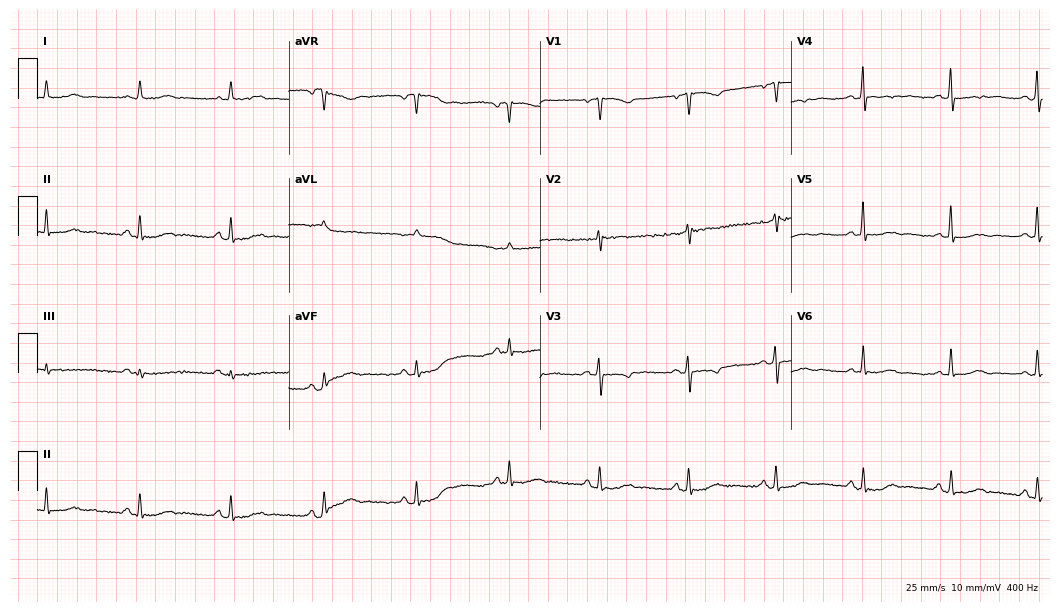
Resting 12-lead electrocardiogram (10.2-second recording at 400 Hz). Patient: a 63-year-old woman. None of these six findings is recorded: first-degree AV block, right bundle branch block, left bundle branch block, sinus bradycardia, atrial fibrillation, sinus tachycardia.